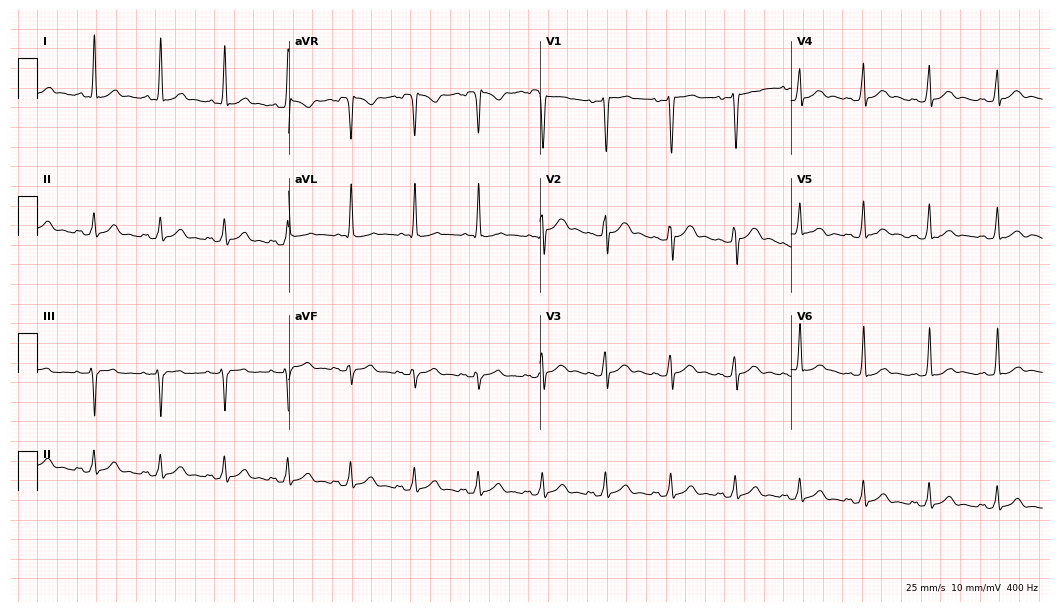
Standard 12-lead ECG recorded from a male patient, 22 years old. Read as a normal ECG.